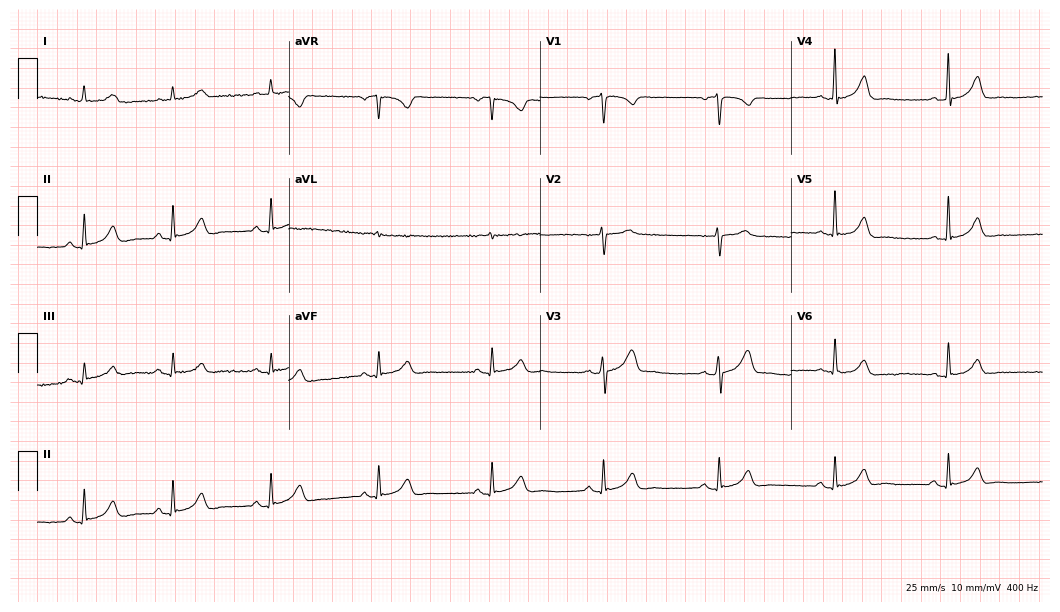
12-lead ECG (10.2-second recording at 400 Hz) from a 59-year-old male. Labelled as a normal ECG.